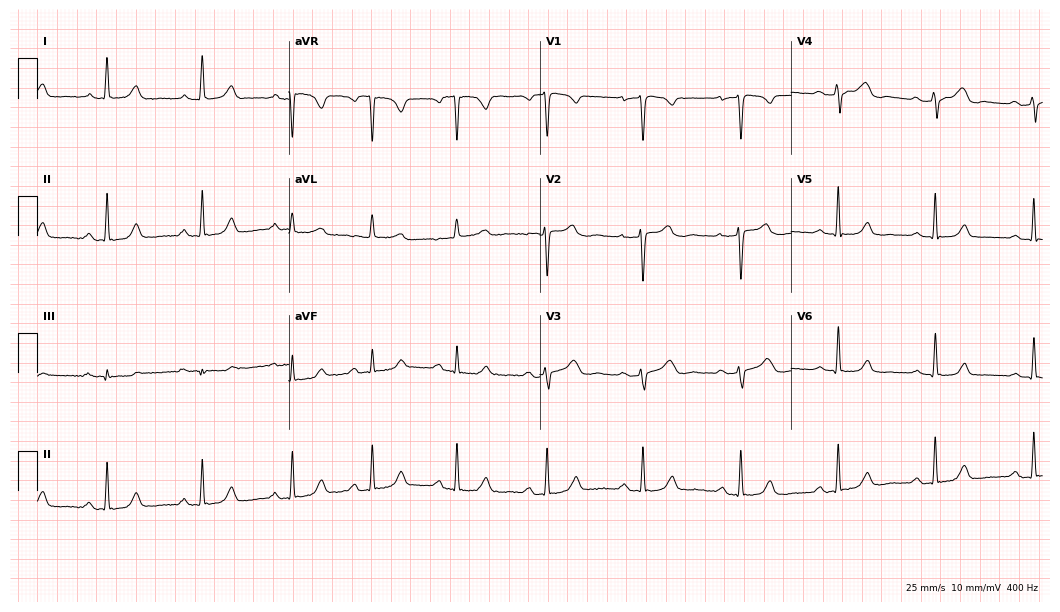
12-lead ECG (10.2-second recording at 400 Hz) from a female, 54 years old. Screened for six findings — first-degree AV block, right bundle branch block, left bundle branch block, sinus bradycardia, atrial fibrillation, sinus tachycardia — none is recorded.